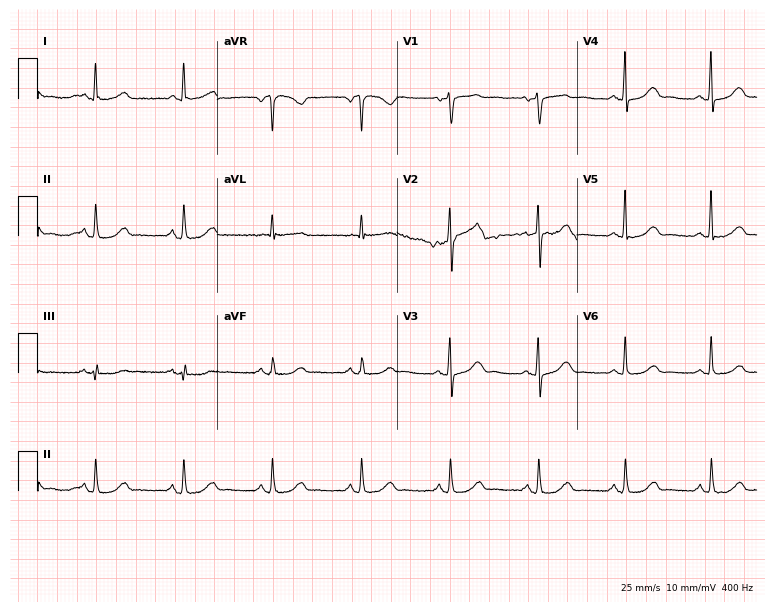
Electrocardiogram (7.3-second recording at 400 Hz), a 76-year-old woman. Of the six screened findings (first-degree AV block, right bundle branch block, left bundle branch block, sinus bradycardia, atrial fibrillation, sinus tachycardia), none is recorded.